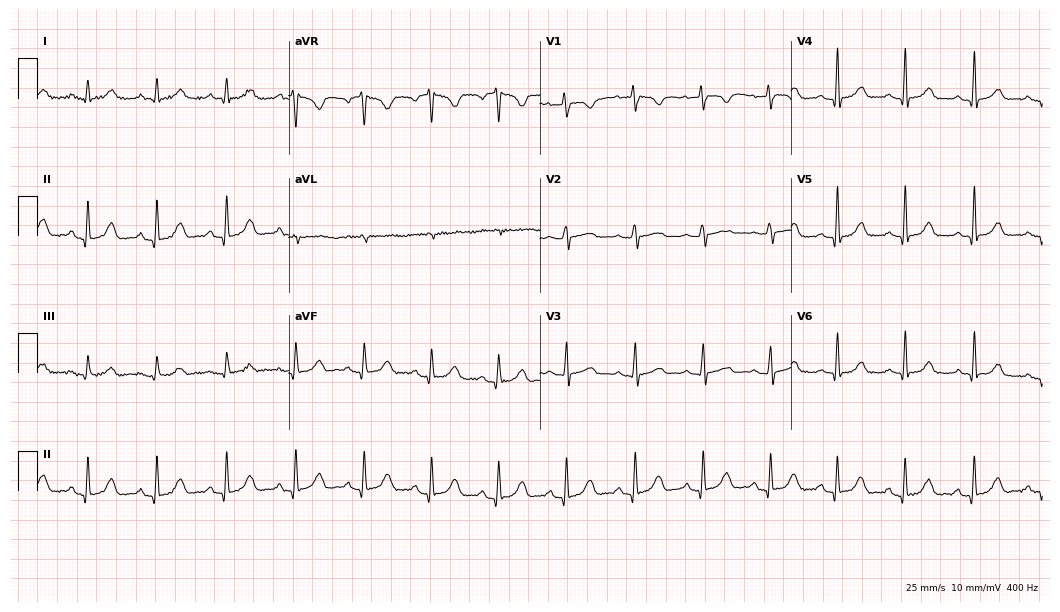
ECG — a 35-year-old female. Screened for six findings — first-degree AV block, right bundle branch block (RBBB), left bundle branch block (LBBB), sinus bradycardia, atrial fibrillation (AF), sinus tachycardia — none is recorded.